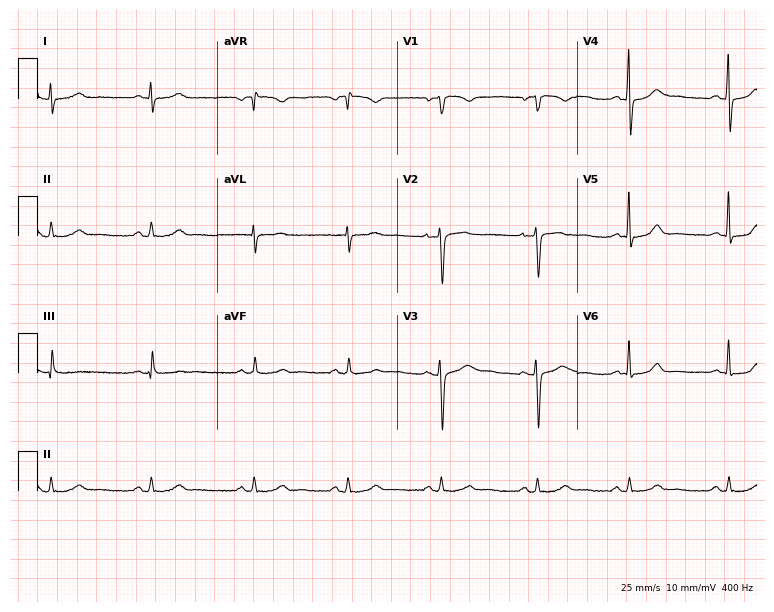
ECG (7.3-second recording at 400 Hz) — a female patient, 36 years old. Screened for six findings — first-degree AV block, right bundle branch block, left bundle branch block, sinus bradycardia, atrial fibrillation, sinus tachycardia — none is recorded. Only these six findings were labelled.